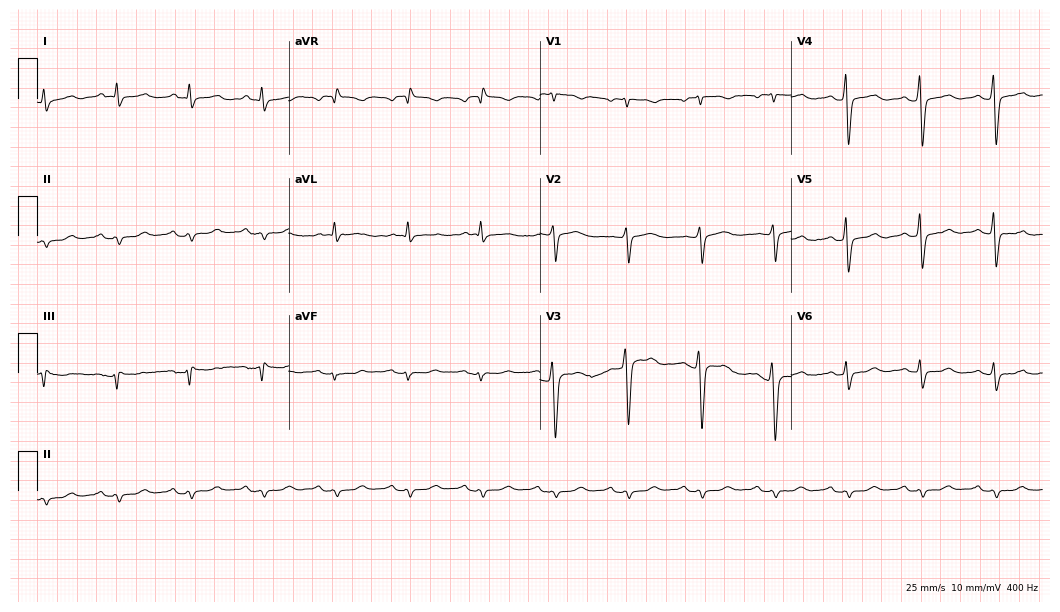
12-lead ECG from a 56-year-old male patient. No first-degree AV block, right bundle branch block, left bundle branch block, sinus bradycardia, atrial fibrillation or sinus tachycardia recorded for this tracing. Findings outside these six are not listed.